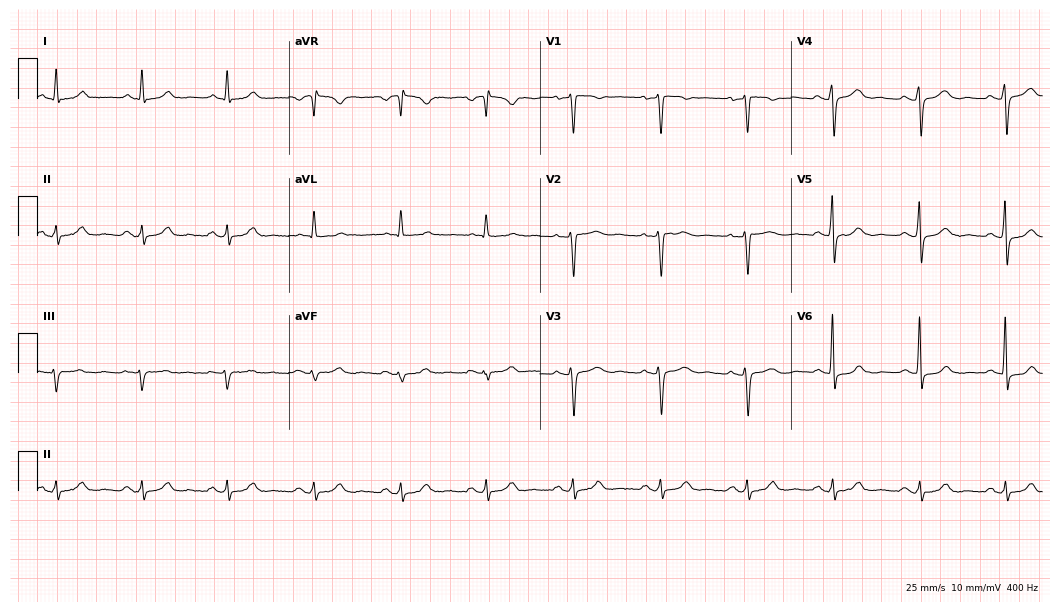
Resting 12-lead electrocardiogram. Patient: a woman, 48 years old. None of these six findings is recorded: first-degree AV block, right bundle branch block, left bundle branch block, sinus bradycardia, atrial fibrillation, sinus tachycardia. Other findings, if any, are not listed.